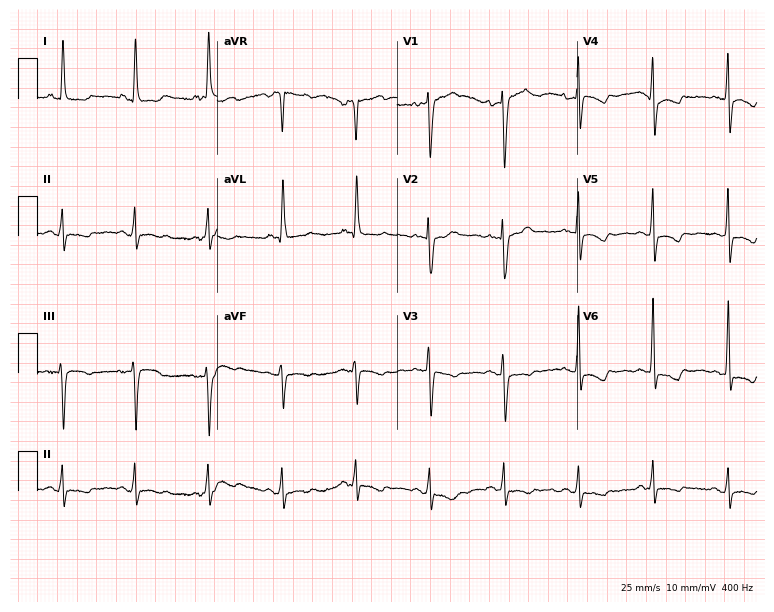
Standard 12-lead ECG recorded from a female, 72 years old (7.3-second recording at 400 Hz). None of these six findings is recorded: first-degree AV block, right bundle branch block (RBBB), left bundle branch block (LBBB), sinus bradycardia, atrial fibrillation (AF), sinus tachycardia.